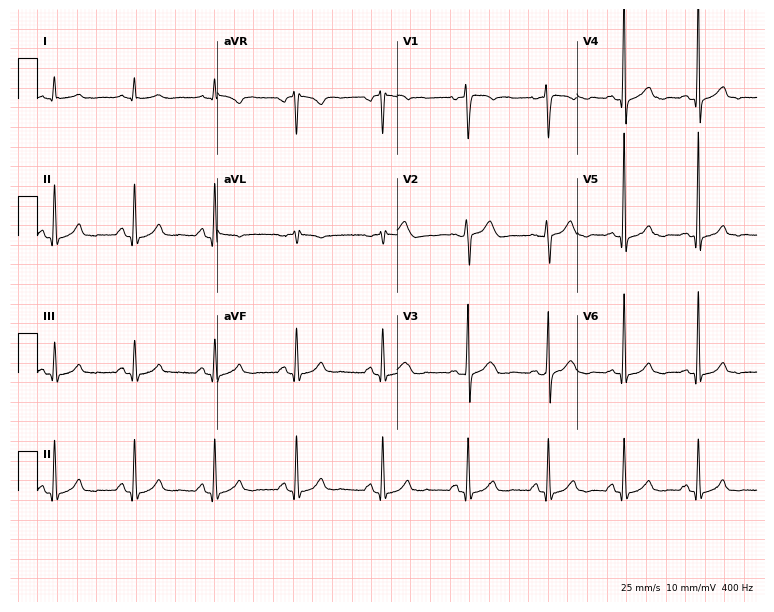
Electrocardiogram (7.3-second recording at 400 Hz), a 27-year-old male. Overall reading on record: normal ECG.